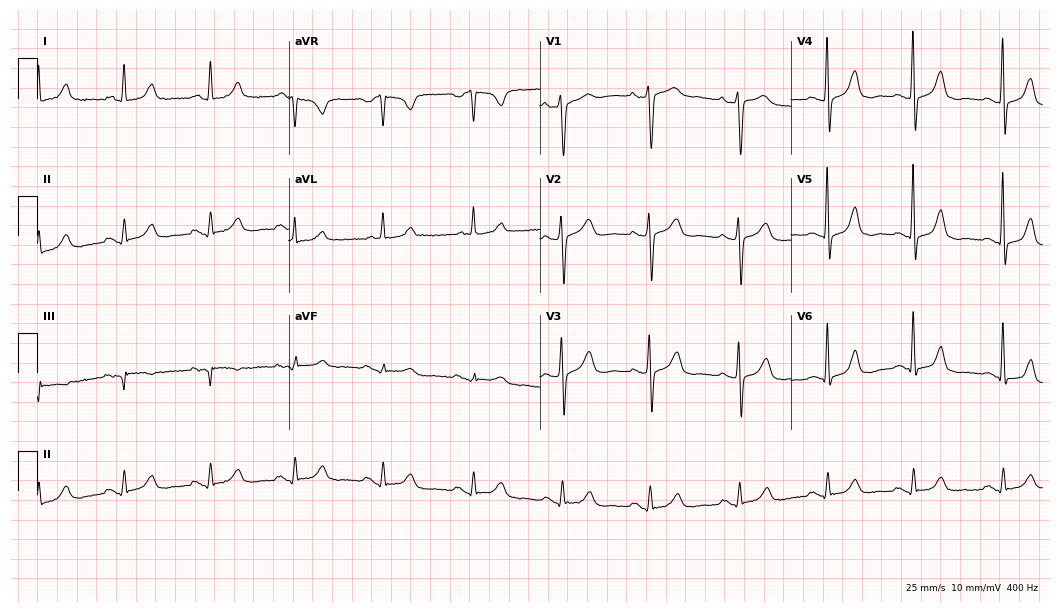
Electrocardiogram (10.2-second recording at 400 Hz), a 46-year-old woman. Of the six screened findings (first-degree AV block, right bundle branch block, left bundle branch block, sinus bradycardia, atrial fibrillation, sinus tachycardia), none is recorded.